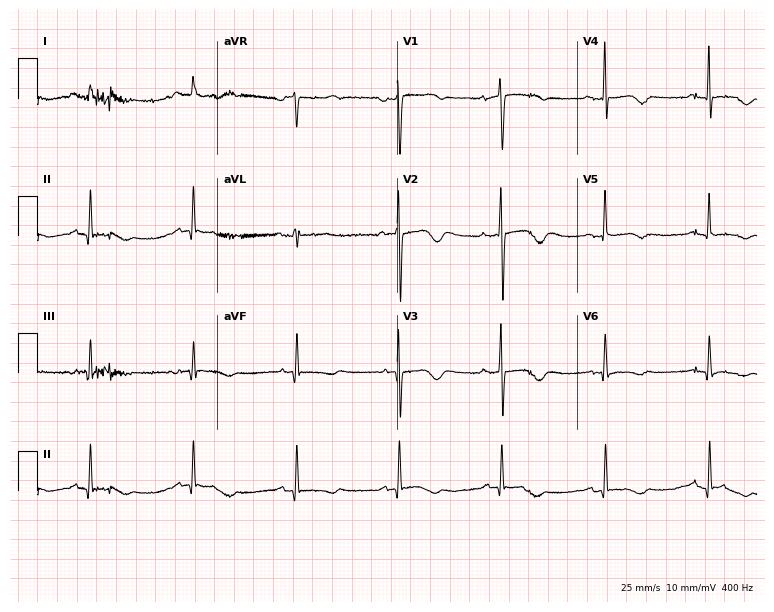
Standard 12-lead ECG recorded from a 74-year-old male patient. None of these six findings is recorded: first-degree AV block, right bundle branch block, left bundle branch block, sinus bradycardia, atrial fibrillation, sinus tachycardia.